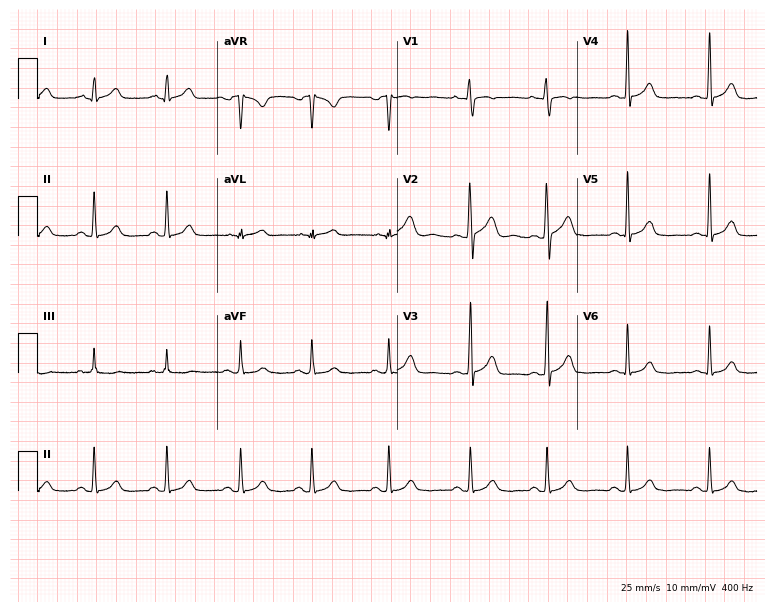
ECG — a female patient, 23 years old. Labelled as a normal ECG.